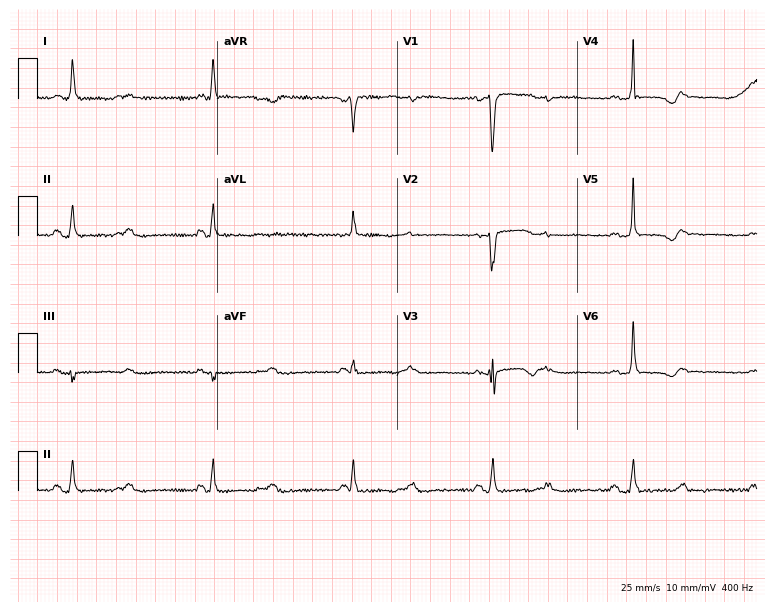
12-lead ECG from a woman, 68 years old. Screened for six findings — first-degree AV block, right bundle branch block, left bundle branch block, sinus bradycardia, atrial fibrillation, sinus tachycardia — none is recorded. Findings outside these six are not listed.